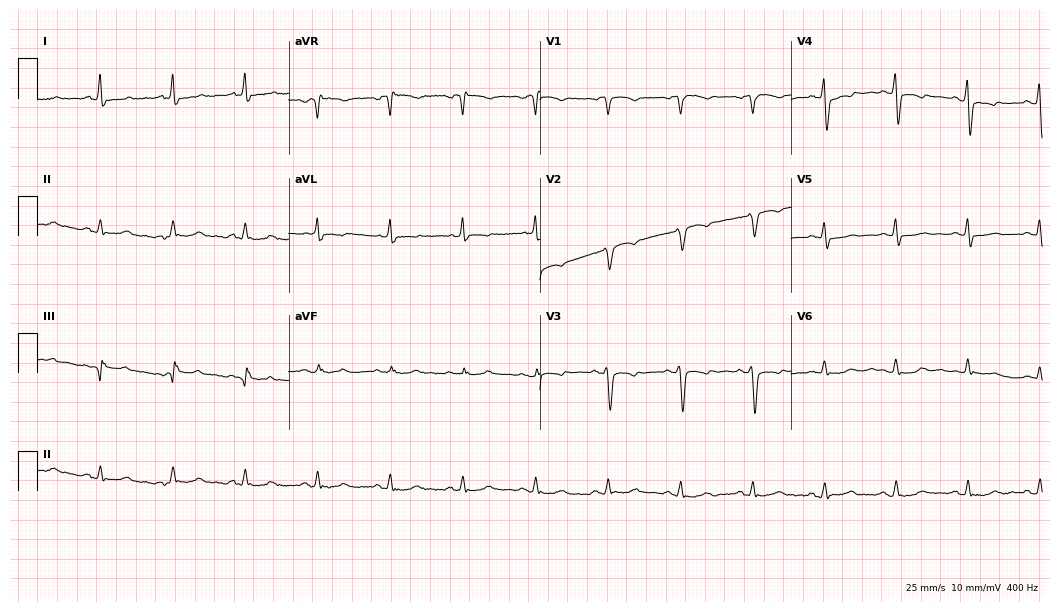
12-lead ECG from a male patient, 81 years old. Screened for six findings — first-degree AV block, right bundle branch block, left bundle branch block, sinus bradycardia, atrial fibrillation, sinus tachycardia — none is recorded. Other findings, if any, are not listed.